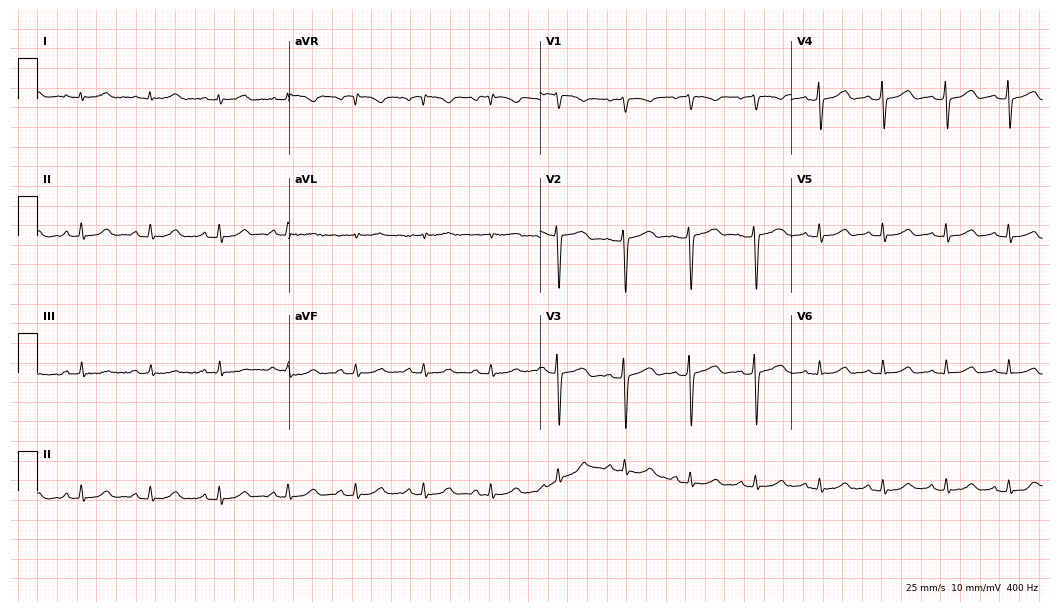
Electrocardiogram (10.2-second recording at 400 Hz), a 43-year-old female patient. Overall reading on record: normal ECG.